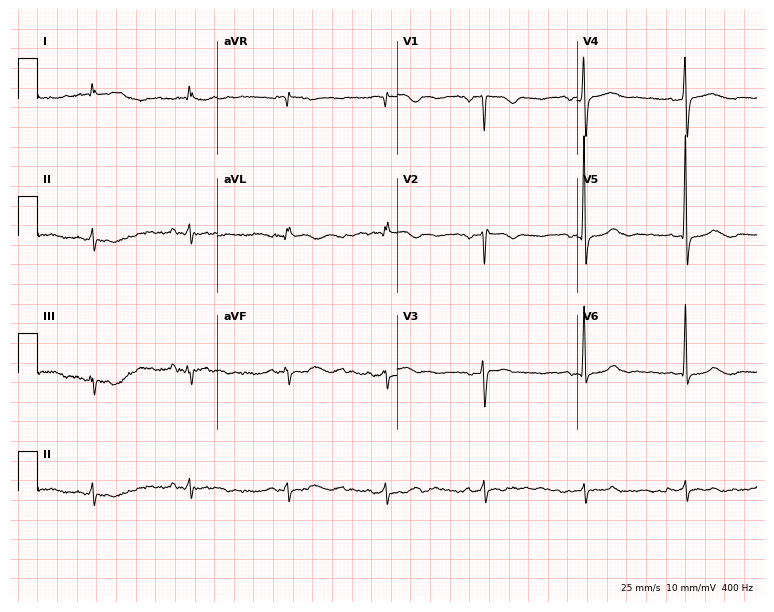
Electrocardiogram, a 66-year-old female. Of the six screened findings (first-degree AV block, right bundle branch block (RBBB), left bundle branch block (LBBB), sinus bradycardia, atrial fibrillation (AF), sinus tachycardia), none is recorded.